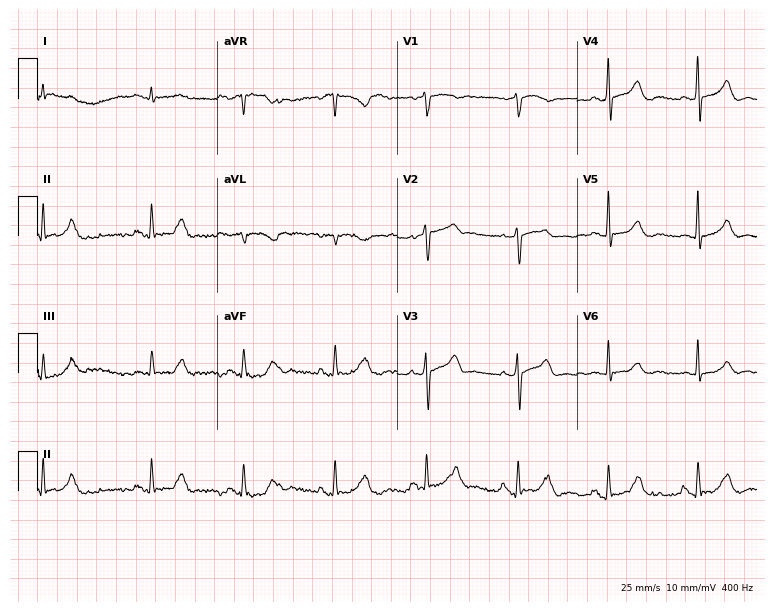
Electrocardiogram (7.3-second recording at 400 Hz), a 77-year-old male. Overall reading on record: normal ECG.